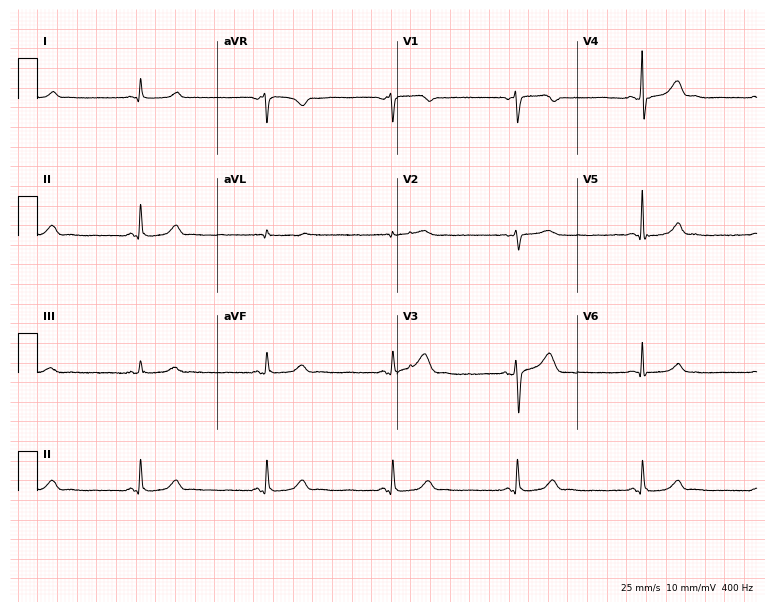
ECG (7.3-second recording at 400 Hz) — a 57-year-old man. Findings include sinus bradycardia (a sinus rate of 50 beats per minute or less).